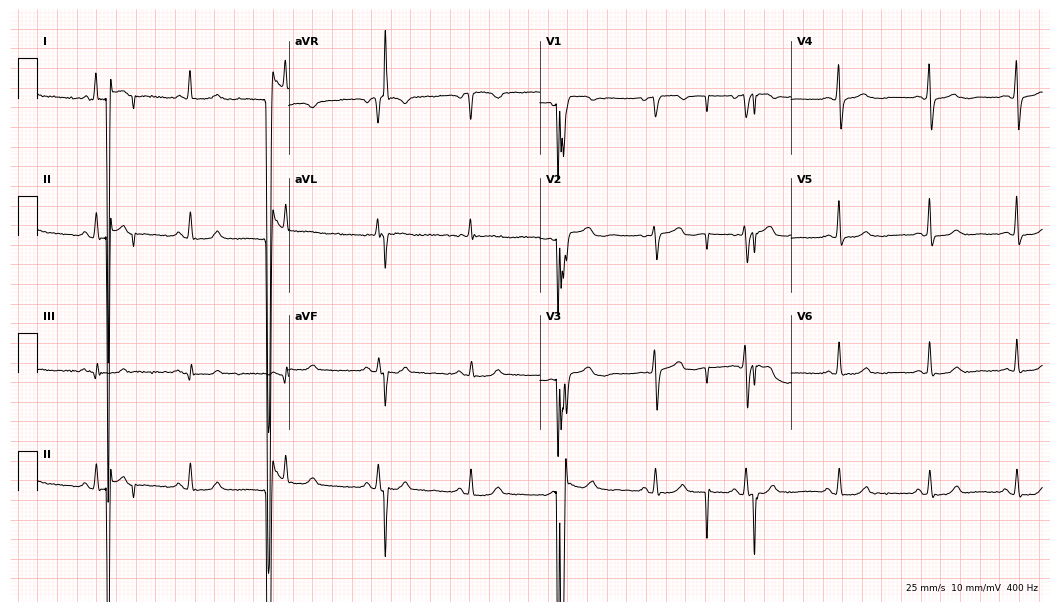
Resting 12-lead electrocardiogram (10.2-second recording at 400 Hz). Patient: a 49-year-old woman. None of these six findings is recorded: first-degree AV block, right bundle branch block (RBBB), left bundle branch block (LBBB), sinus bradycardia, atrial fibrillation (AF), sinus tachycardia. Findings outside these six are not listed.